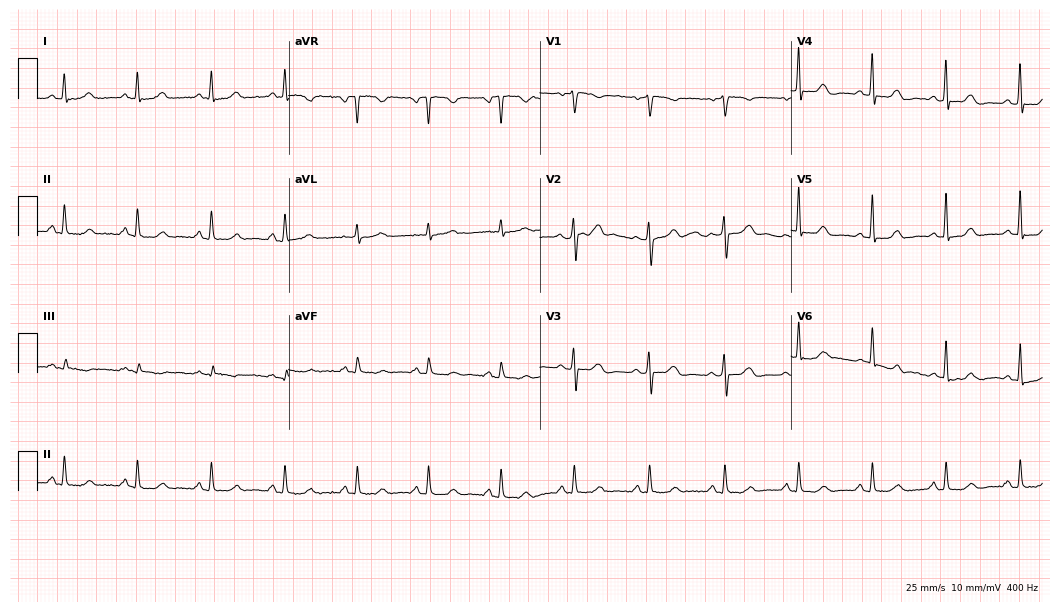
12-lead ECG from a 52-year-old female patient (10.2-second recording at 400 Hz). No first-degree AV block, right bundle branch block (RBBB), left bundle branch block (LBBB), sinus bradycardia, atrial fibrillation (AF) or sinus tachycardia recorded for this tracing. Only these six findings were labelled.